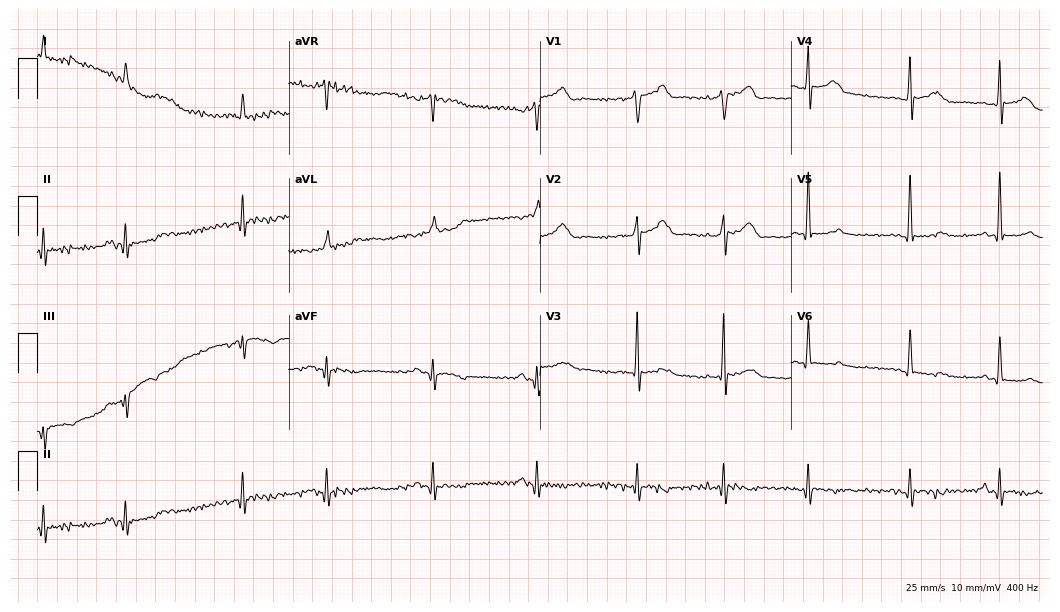
Electrocardiogram (10.2-second recording at 400 Hz), a male patient, 78 years old. Of the six screened findings (first-degree AV block, right bundle branch block, left bundle branch block, sinus bradycardia, atrial fibrillation, sinus tachycardia), none is recorded. Findings outside these six are not listed.